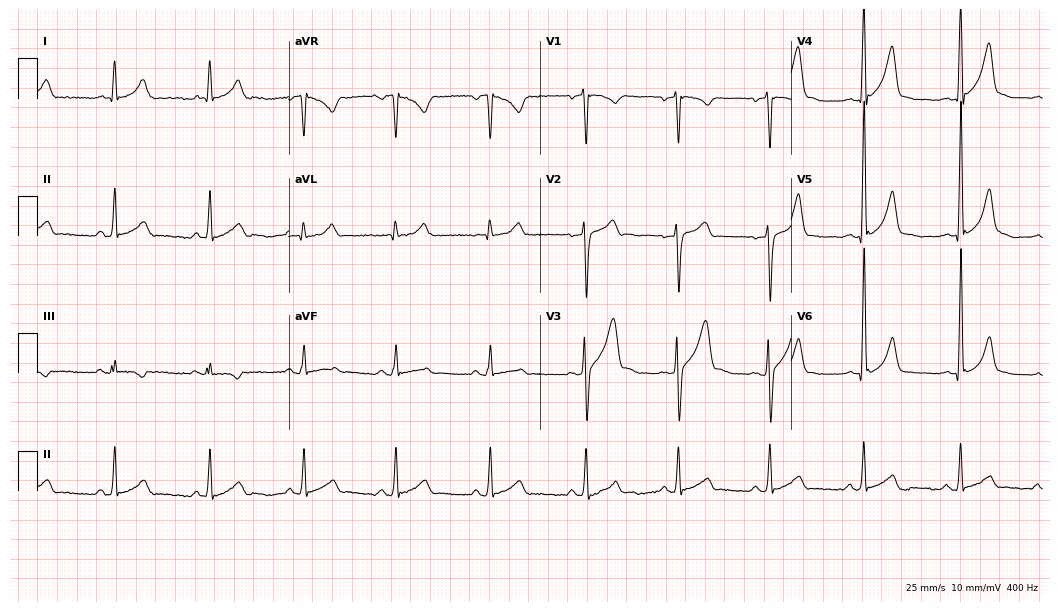
ECG — a man, 30 years old. Screened for six findings — first-degree AV block, right bundle branch block (RBBB), left bundle branch block (LBBB), sinus bradycardia, atrial fibrillation (AF), sinus tachycardia — none is recorded. Other findings, if any, are not listed.